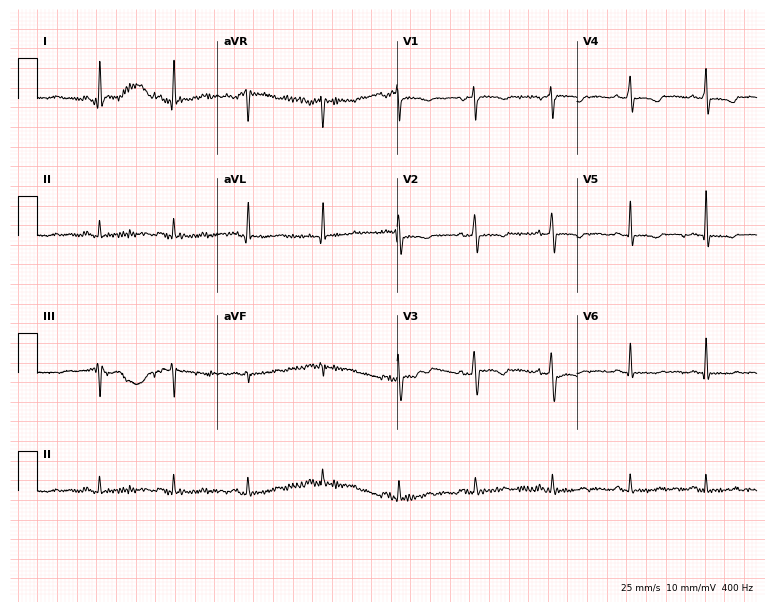
Standard 12-lead ECG recorded from a 46-year-old female patient (7.3-second recording at 400 Hz). None of these six findings is recorded: first-degree AV block, right bundle branch block (RBBB), left bundle branch block (LBBB), sinus bradycardia, atrial fibrillation (AF), sinus tachycardia. Only these six findings were labelled.